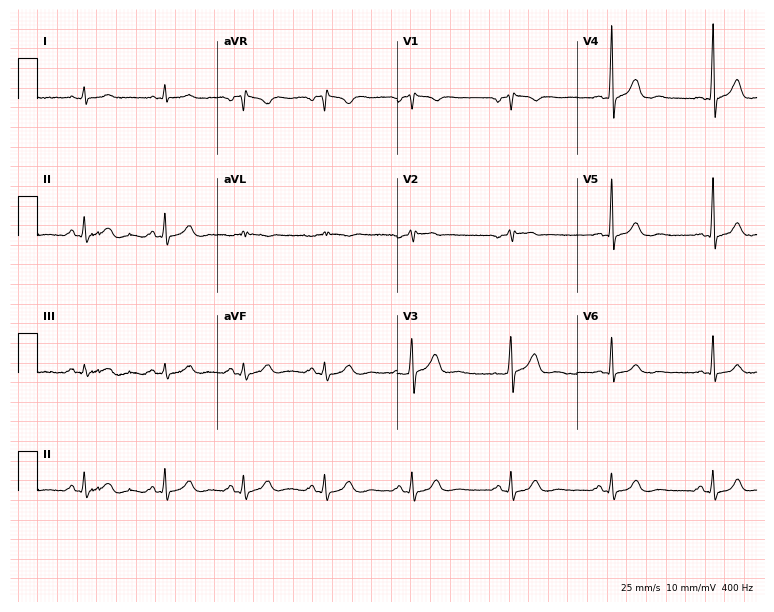
Resting 12-lead electrocardiogram. Patient: a 59-year-old male. Read as a normal ECG.